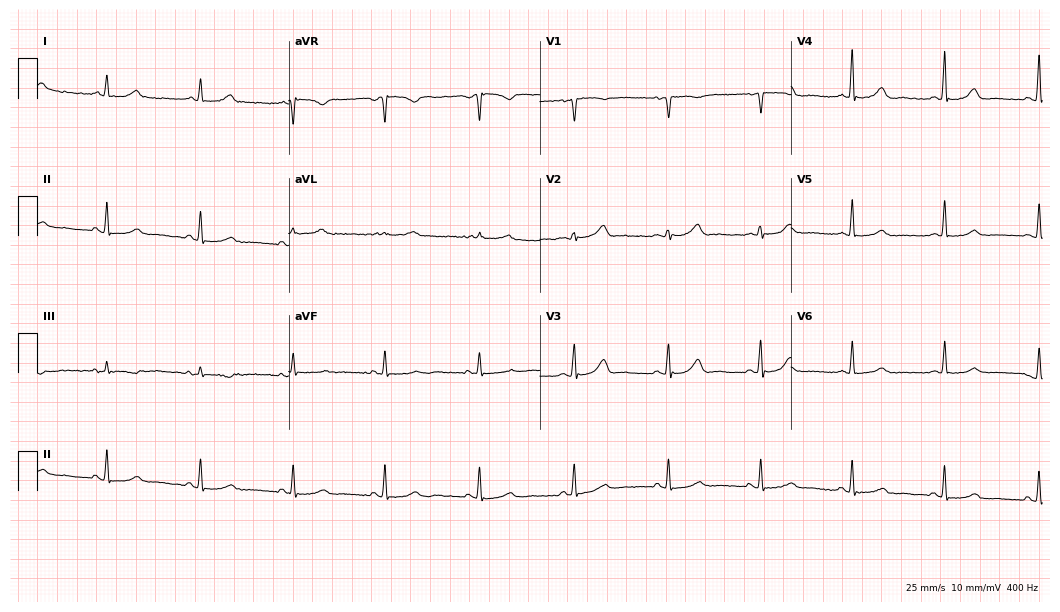
Standard 12-lead ECG recorded from a 57-year-old woman. None of these six findings is recorded: first-degree AV block, right bundle branch block, left bundle branch block, sinus bradycardia, atrial fibrillation, sinus tachycardia. Findings outside these six are not listed.